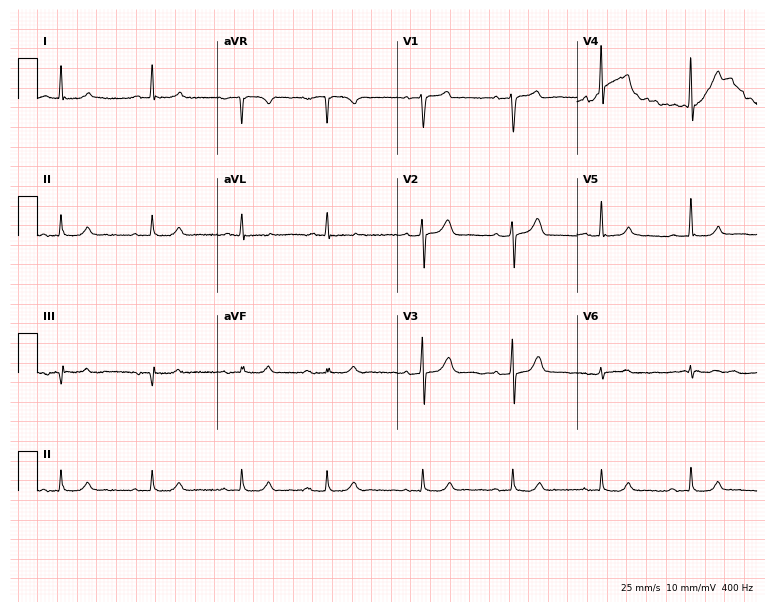
12-lead ECG from a 78-year-old male patient. Recorded interpretation: within normal limits.